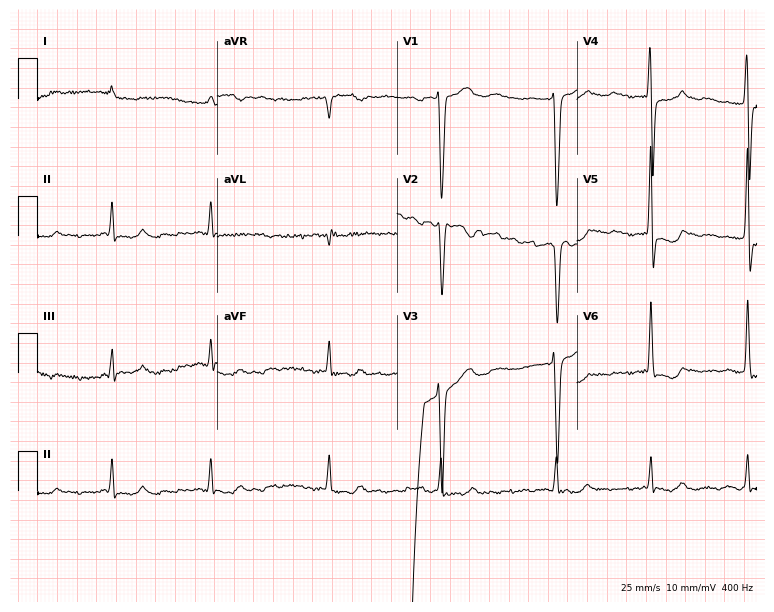
12-lead ECG from a 41-year-old male patient (7.3-second recording at 400 Hz). No first-degree AV block, right bundle branch block, left bundle branch block, sinus bradycardia, atrial fibrillation or sinus tachycardia recorded for this tracing.